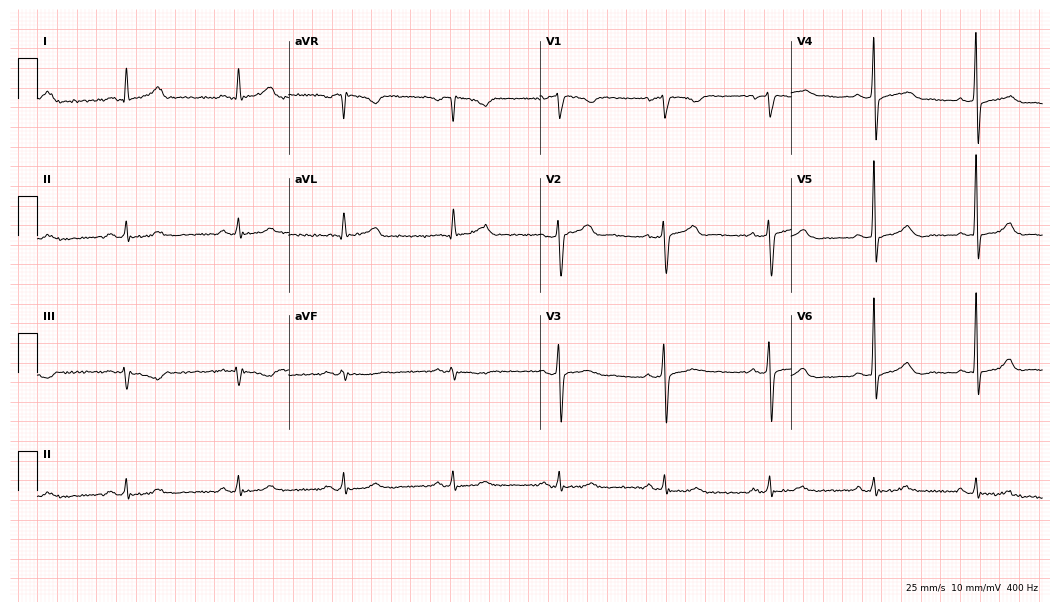
ECG (10.2-second recording at 400 Hz) — a 53-year-old man. Labelled as a normal ECG.